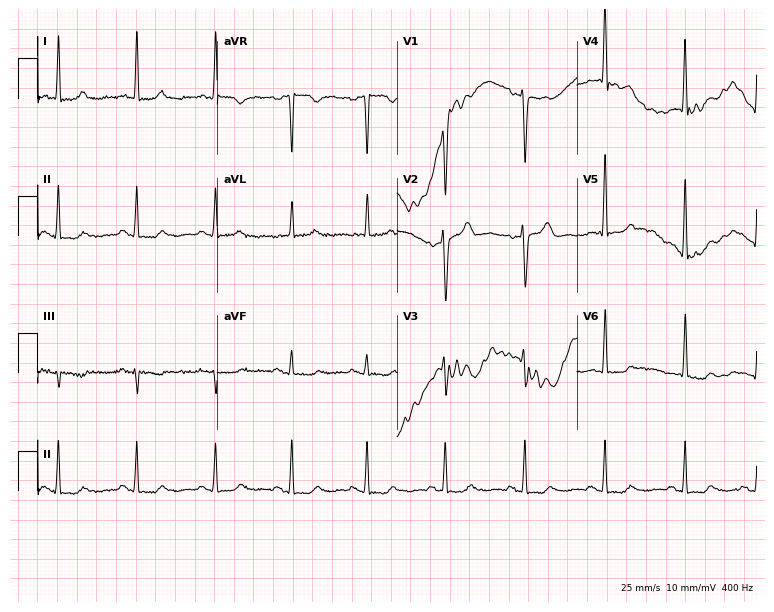
12-lead ECG from a female patient, 40 years old. Screened for six findings — first-degree AV block, right bundle branch block, left bundle branch block, sinus bradycardia, atrial fibrillation, sinus tachycardia — none is recorded. Findings outside these six are not listed.